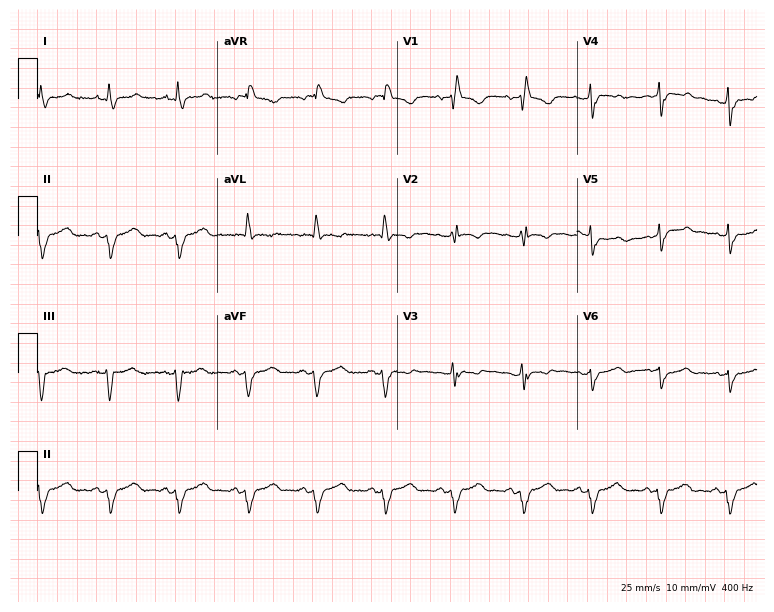
12-lead ECG from a female patient, 44 years old. Findings include right bundle branch block.